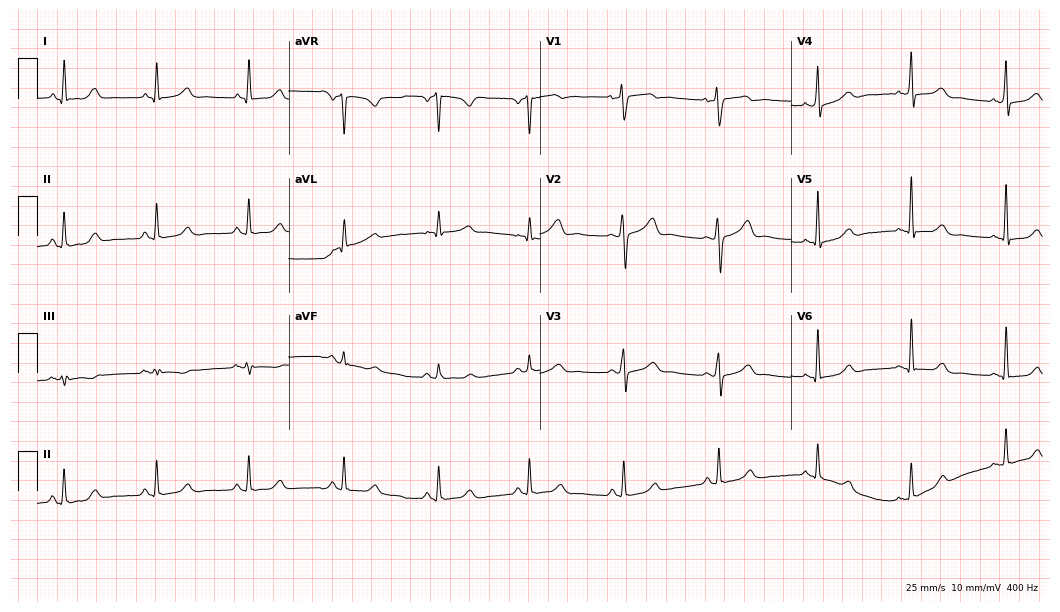
Resting 12-lead electrocardiogram. Patient: a female, 60 years old. Read as a normal ECG.